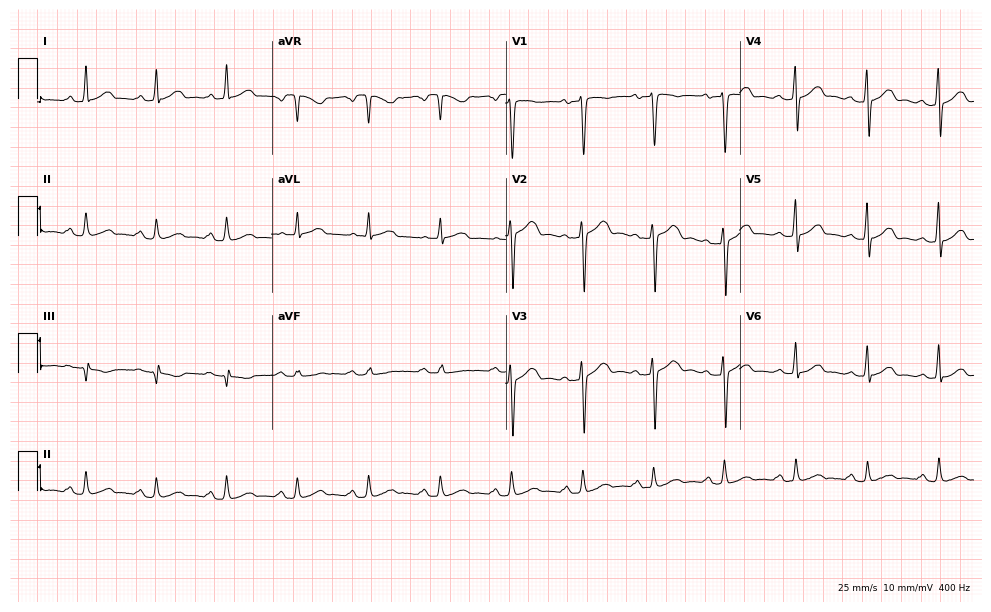
12-lead ECG (9.5-second recording at 400 Hz) from a 33-year-old female patient. Labelled as a normal ECG.